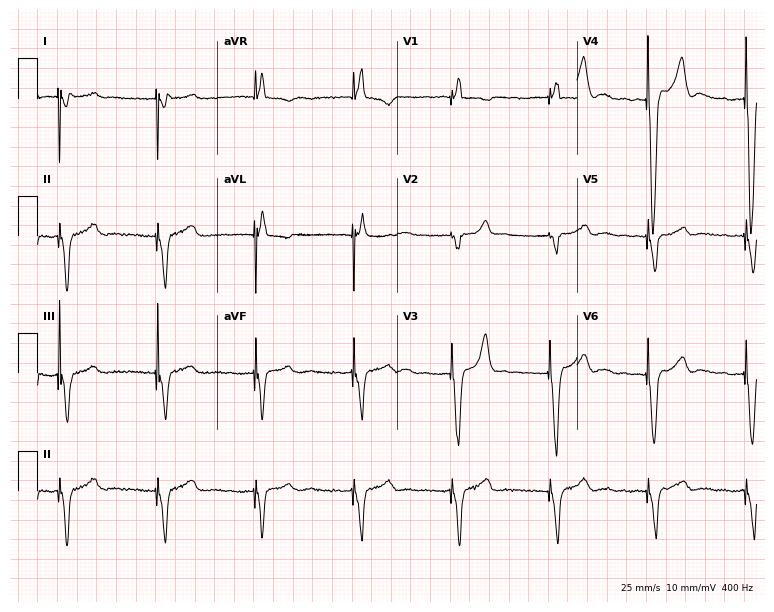
Resting 12-lead electrocardiogram (7.3-second recording at 400 Hz). Patient: a 70-year-old male. None of these six findings is recorded: first-degree AV block, right bundle branch block, left bundle branch block, sinus bradycardia, atrial fibrillation, sinus tachycardia.